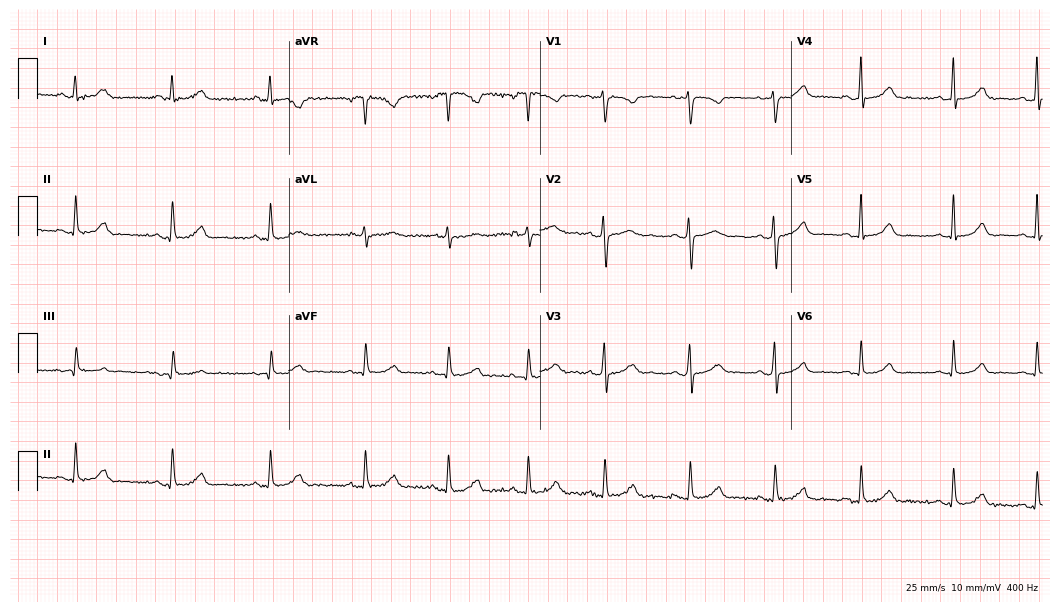
Standard 12-lead ECG recorded from a 30-year-old woman. Read as a normal ECG.